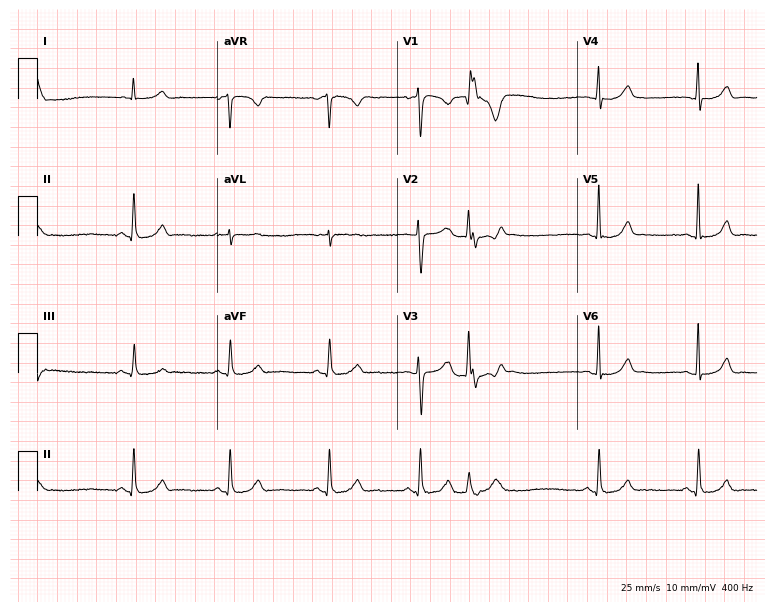
Resting 12-lead electrocardiogram. Patient: a woman, 23 years old. None of these six findings is recorded: first-degree AV block, right bundle branch block (RBBB), left bundle branch block (LBBB), sinus bradycardia, atrial fibrillation (AF), sinus tachycardia.